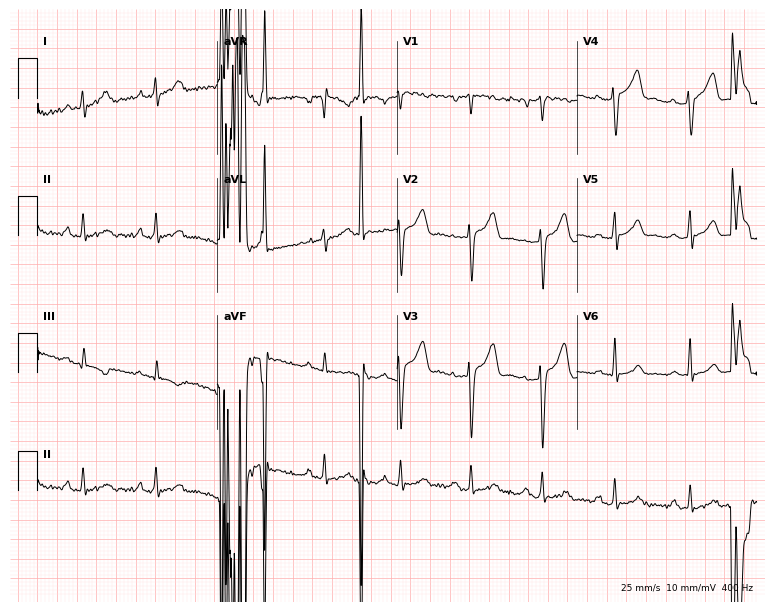
ECG (7.3-second recording at 400 Hz) — a man, 30 years old. Screened for six findings — first-degree AV block, right bundle branch block, left bundle branch block, sinus bradycardia, atrial fibrillation, sinus tachycardia — none is recorded.